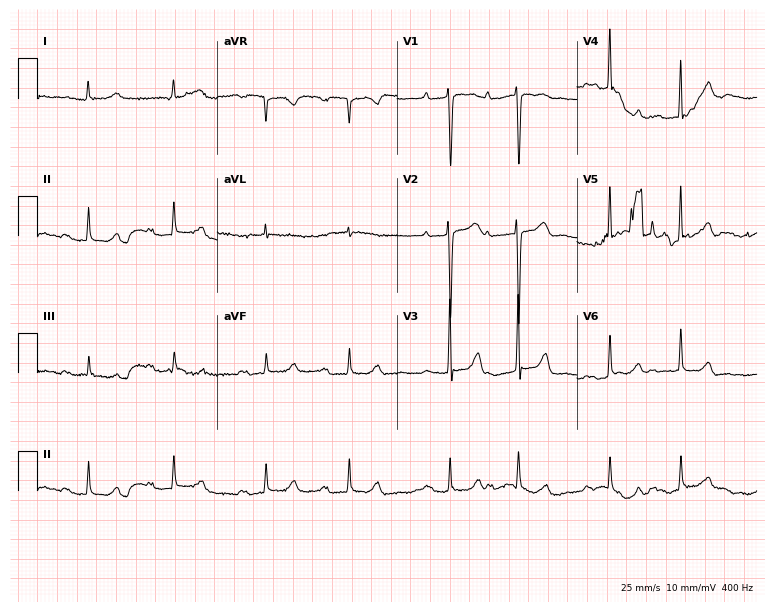
12-lead ECG from a female, 82 years old (7.3-second recording at 400 Hz). Shows first-degree AV block.